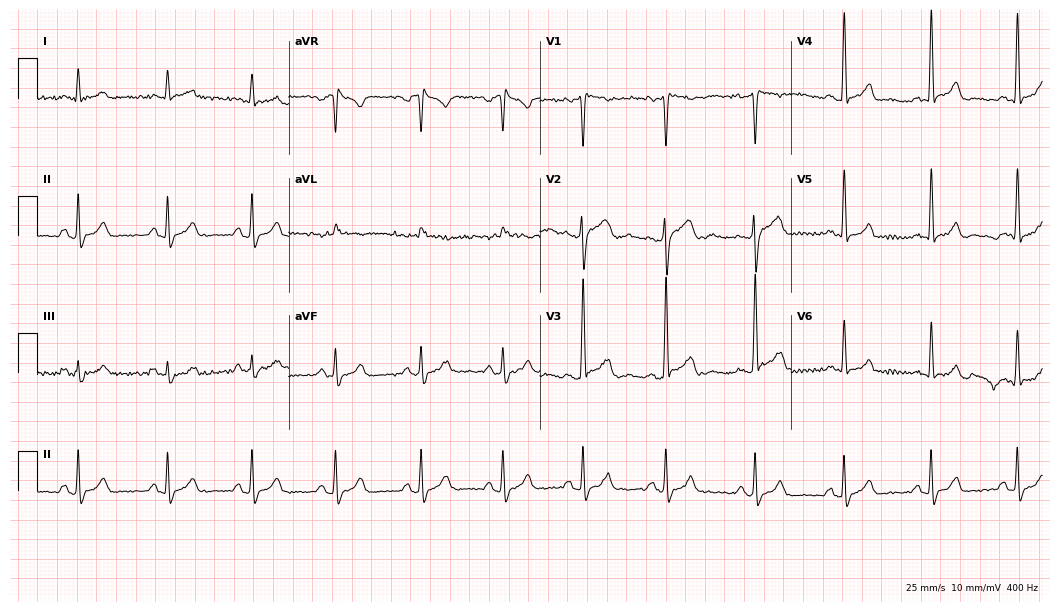
Standard 12-lead ECG recorded from a 38-year-old male (10.2-second recording at 400 Hz). Read as a normal ECG.